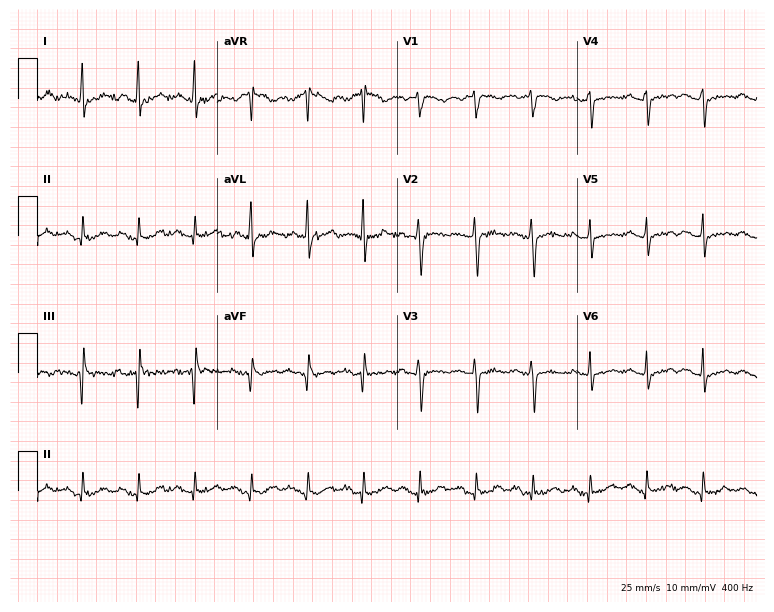
Standard 12-lead ECG recorded from a female, 57 years old (7.3-second recording at 400 Hz). The tracing shows sinus tachycardia (a sinus rate of 100 beats per minute or more).